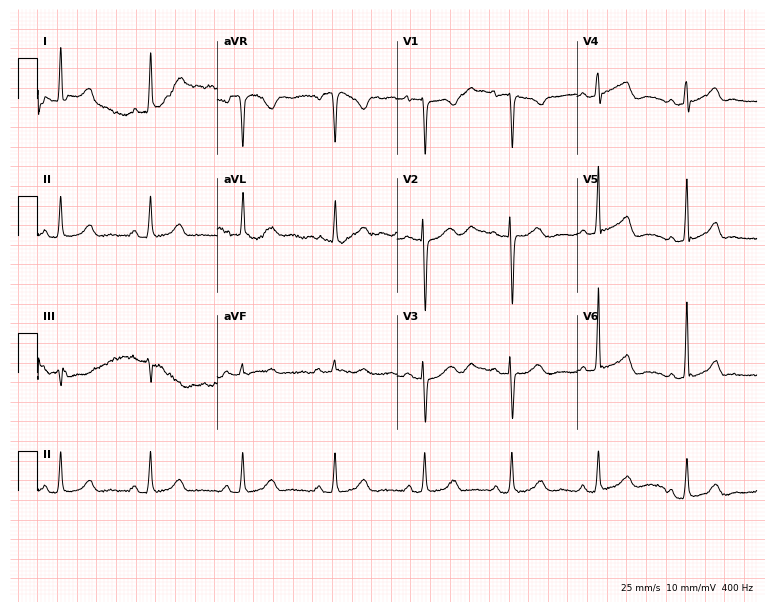
ECG — a female, 60 years old. Screened for six findings — first-degree AV block, right bundle branch block, left bundle branch block, sinus bradycardia, atrial fibrillation, sinus tachycardia — none is recorded. Only these six findings were labelled.